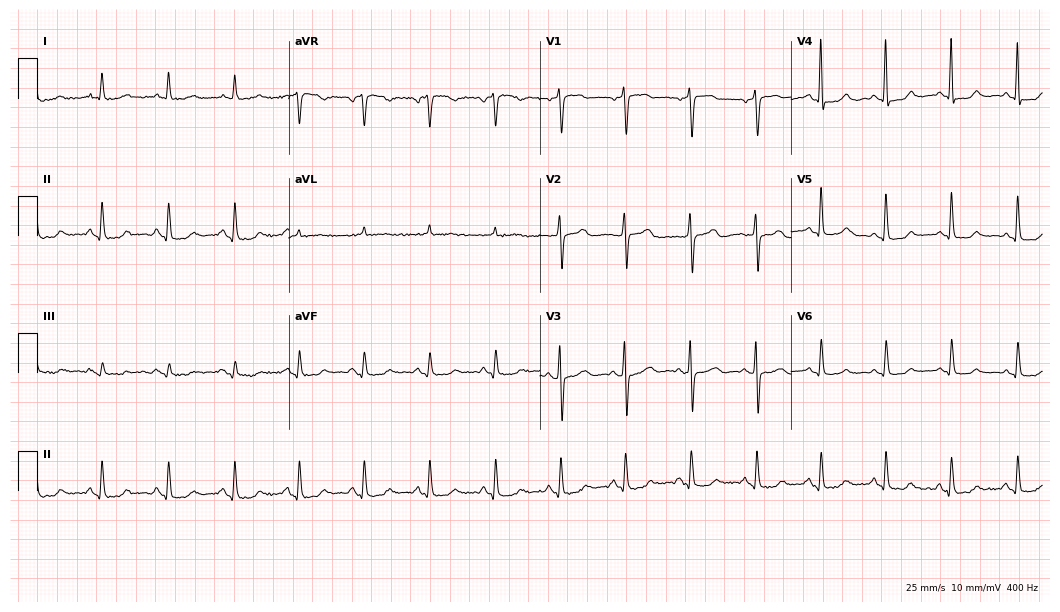
12-lead ECG (10.2-second recording at 400 Hz) from a female, 70 years old. Labelled as a normal ECG.